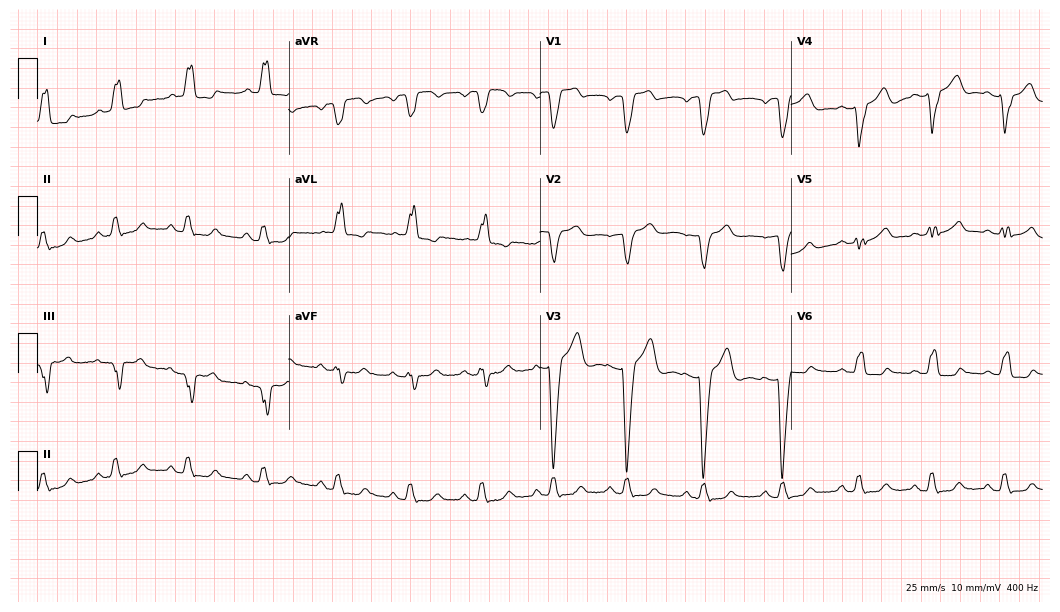
12-lead ECG (10.2-second recording at 400 Hz) from a 48-year-old female. Findings include left bundle branch block.